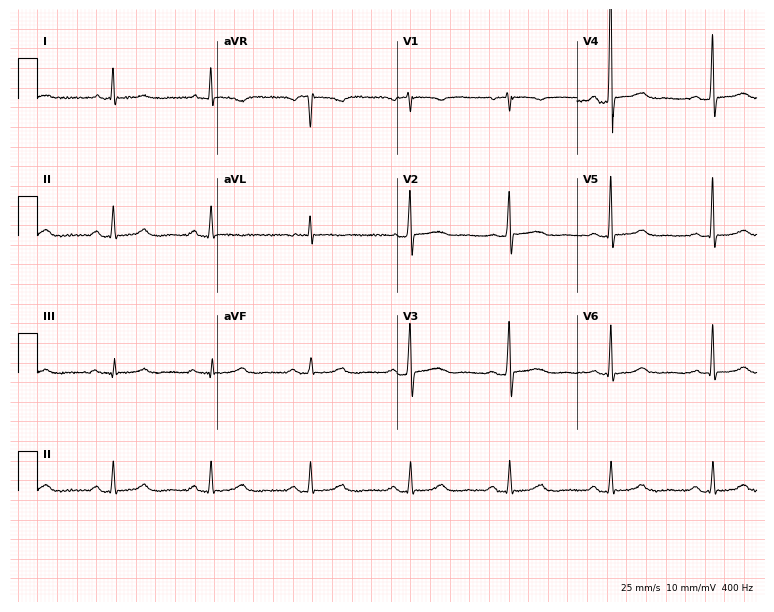
Standard 12-lead ECG recorded from a woman, 62 years old. None of these six findings is recorded: first-degree AV block, right bundle branch block (RBBB), left bundle branch block (LBBB), sinus bradycardia, atrial fibrillation (AF), sinus tachycardia.